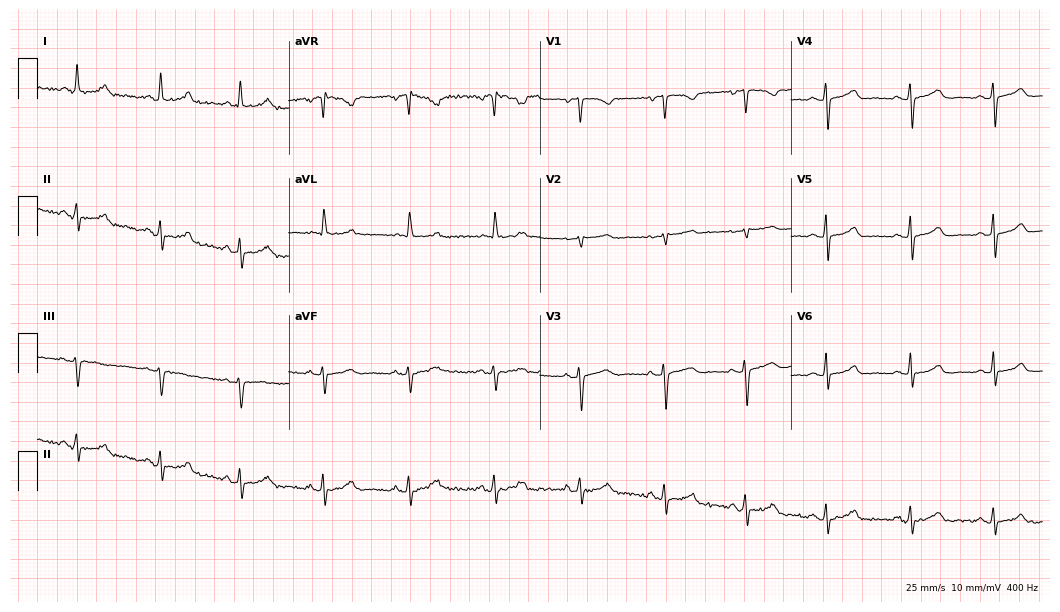
ECG — a female, 26 years old. Screened for six findings — first-degree AV block, right bundle branch block, left bundle branch block, sinus bradycardia, atrial fibrillation, sinus tachycardia — none is recorded. Findings outside these six are not listed.